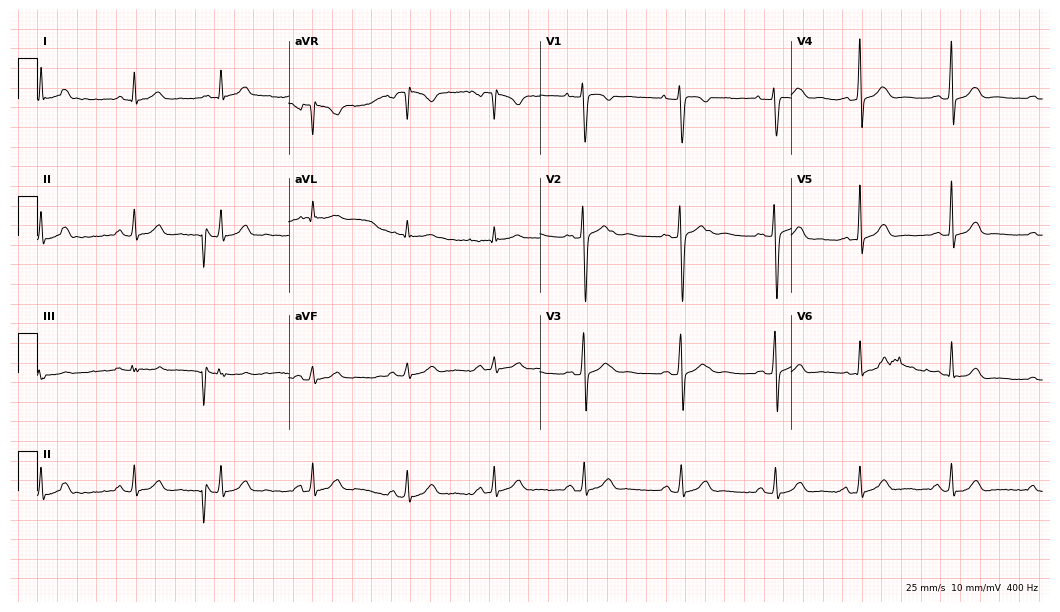
Standard 12-lead ECG recorded from a 19-year-old female (10.2-second recording at 400 Hz). Read as a normal ECG.